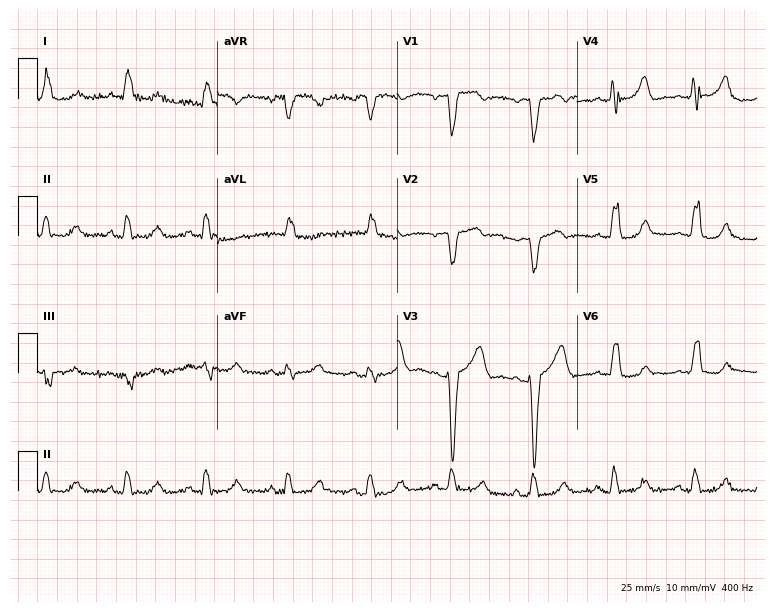
12-lead ECG from a 66-year-old female (7.3-second recording at 400 Hz). Shows left bundle branch block (LBBB).